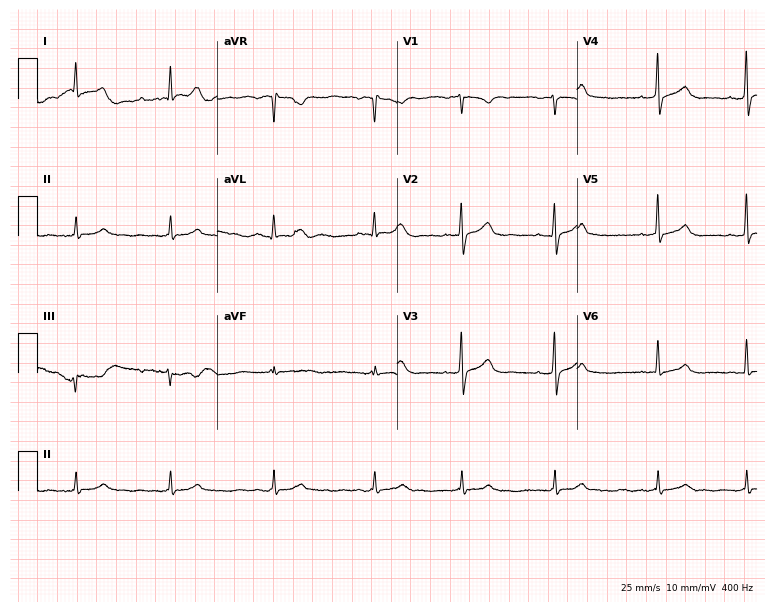
12-lead ECG (7.3-second recording at 400 Hz) from a man, 41 years old. Labelled as a normal ECG.